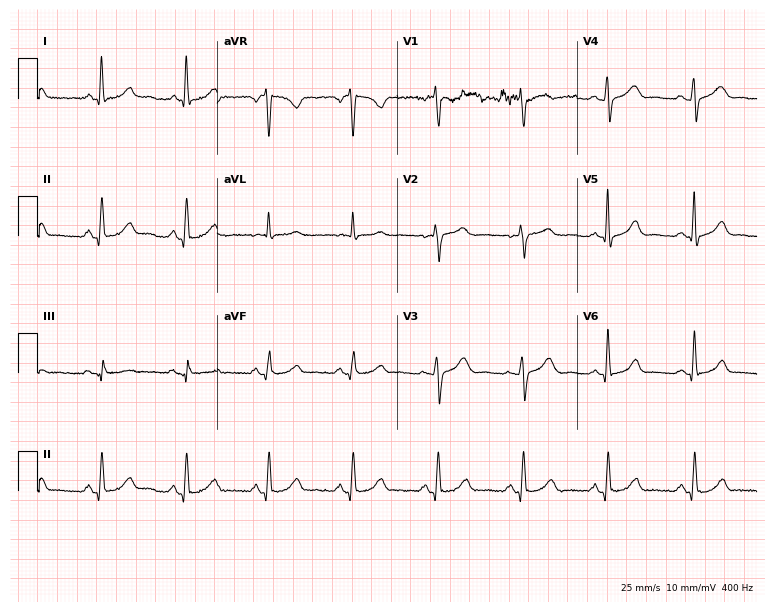
Electrocardiogram (7.3-second recording at 400 Hz), a 45-year-old female patient. Overall reading on record: normal ECG.